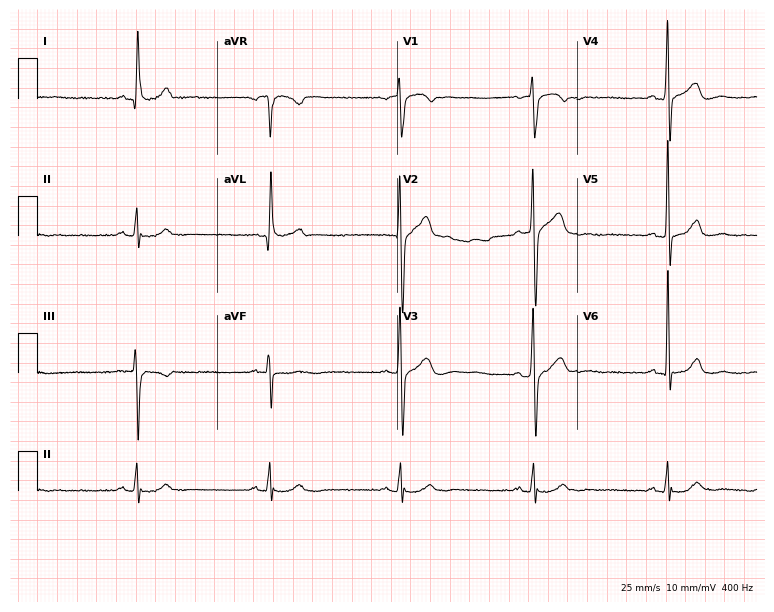
Resting 12-lead electrocardiogram (7.3-second recording at 400 Hz). Patient: a 67-year-old man. The tracing shows sinus bradycardia (a sinus rate of 50 beats per minute or less).